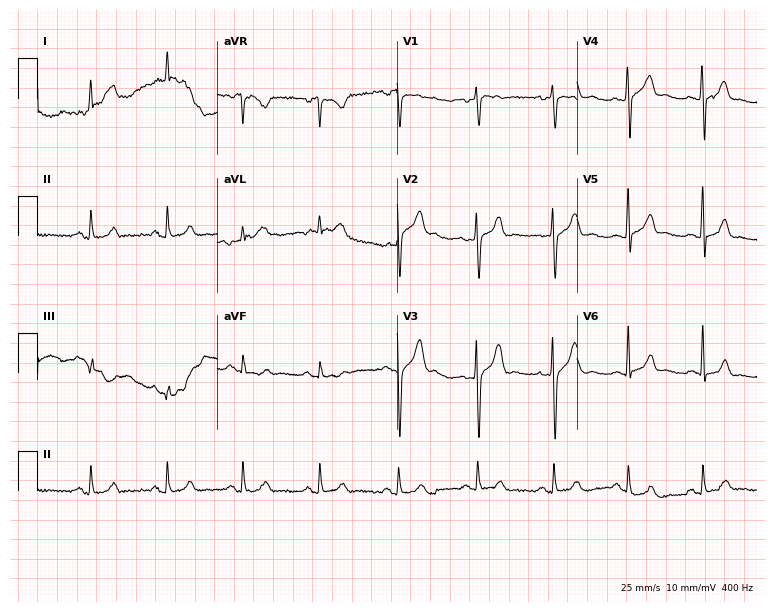
Resting 12-lead electrocardiogram. Patient: a male, 35 years old. Read as a normal ECG.